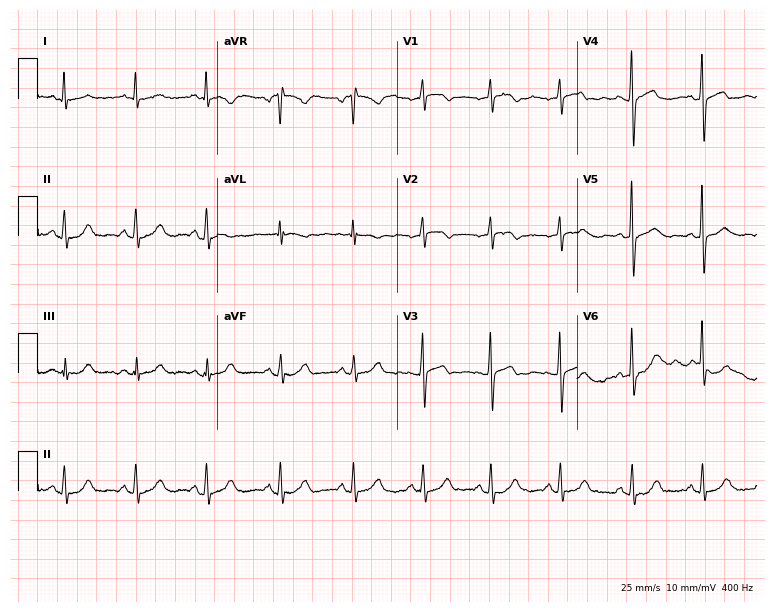
ECG (7.3-second recording at 400 Hz) — a female, 61 years old. Screened for six findings — first-degree AV block, right bundle branch block (RBBB), left bundle branch block (LBBB), sinus bradycardia, atrial fibrillation (AF), sinus tachycardia — none is recorded.